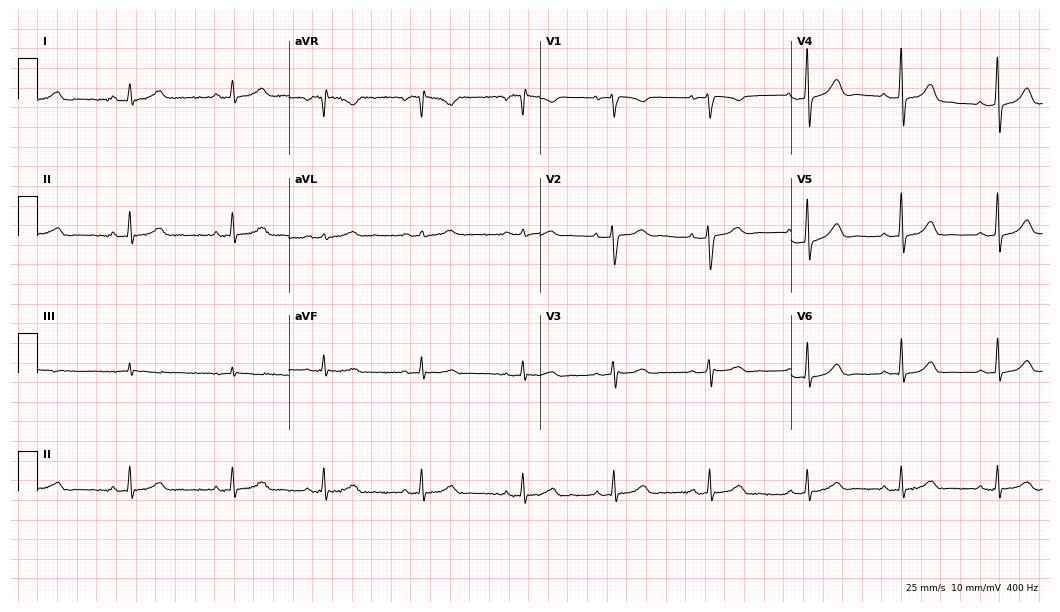
12-lead ECG from a 37-year-old female (10.2-second recording at 400 Hz). Recorded interpretation: within normal limits.